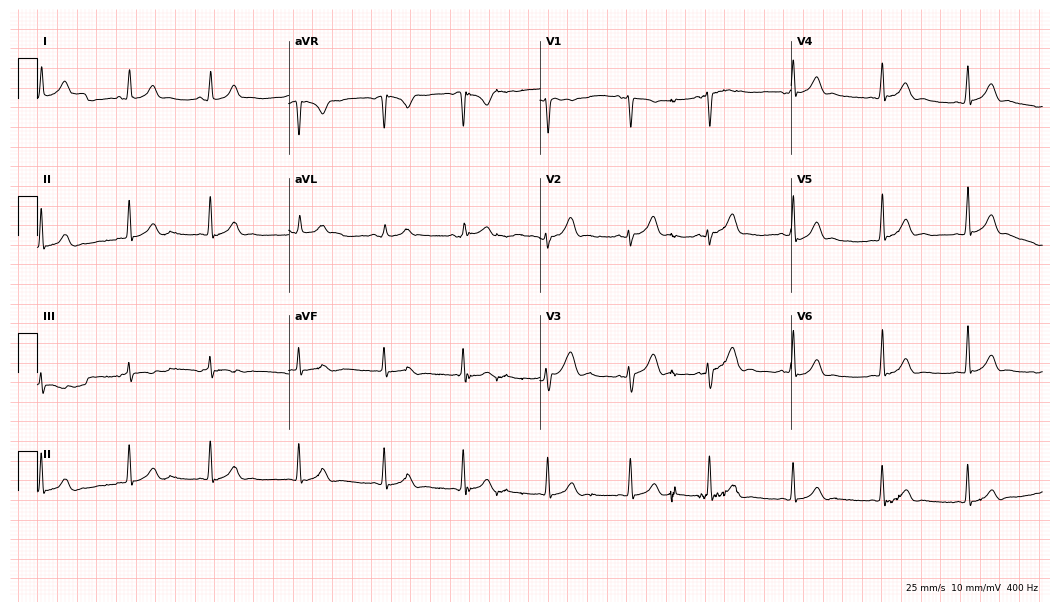
ECG (10.2-second recording at 400 Hz) — a man, 19 years old. Labelled as a normal ECG.